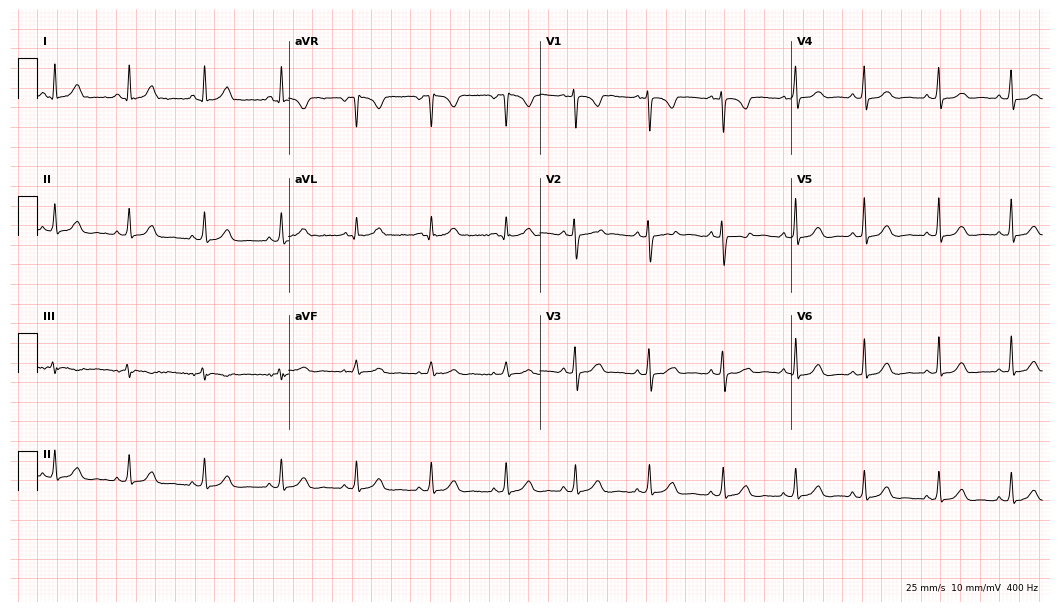
12-lead ECG from a woman, 32 years old. Labelled as a normal ECG.